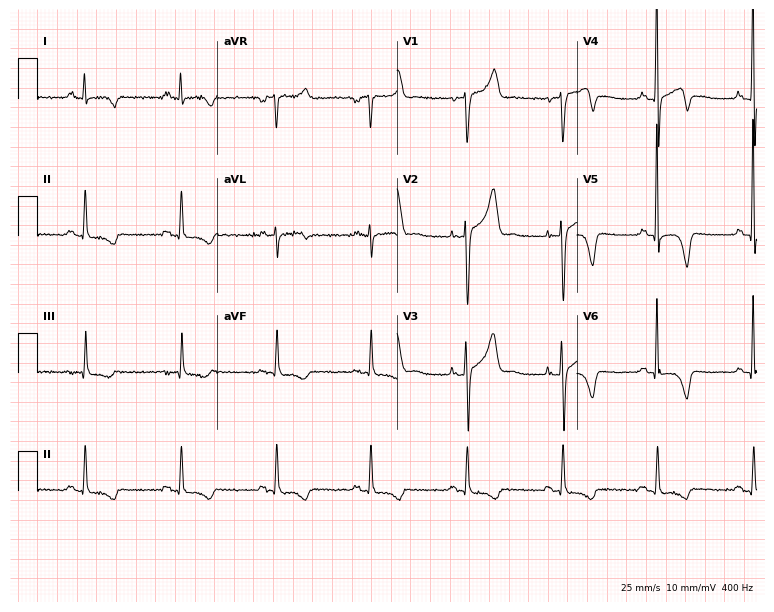
Resting 12-lead electrocardiogram (7.3-second recording at 400 Hz). Patient: a 44-year-old male. None of these six findings is recorded: first-degree AV block, right bundle branch block, left bundle branch block, sinus bradycardia, atrial fibrillation, sinus tachycardia. Findings outside these six are not listed.